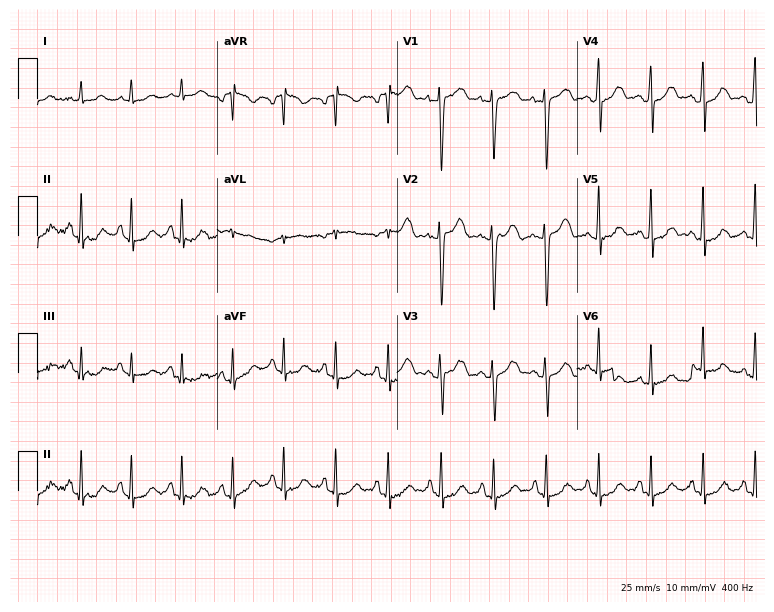
ECG (7.3-second recording at 400 Hz) — a 37-year-old female. Findings include sinus tachycardia (a sinus rate of 100 beats per minute or more).